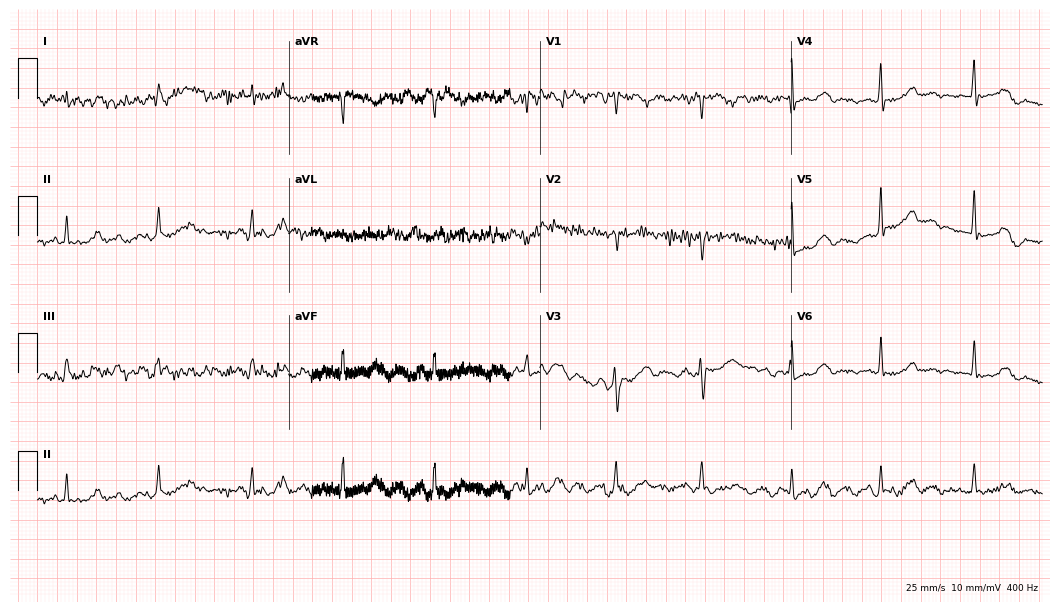
Electrocardiogram, a 78-year-old female patient. Of the six screened findings (first-degree AV block, right bundle branch block, left bundle branch block, sinus bradycardia, atrial fibrillation, sinus tachycardia), none is recorded. Findings outside these six are not listed.